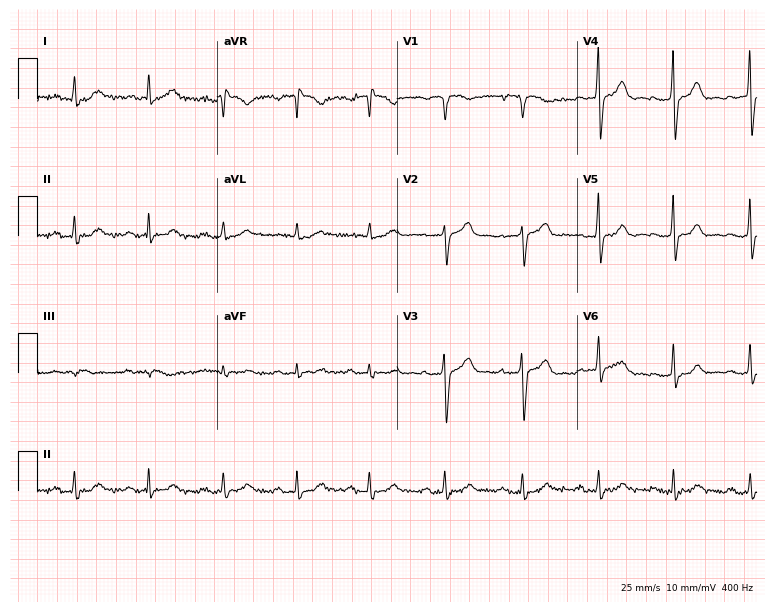
Electrocardiogram (7.3-second recording at 400 Hz), a male, 55 years old. Overall reading on record: normal ECG.